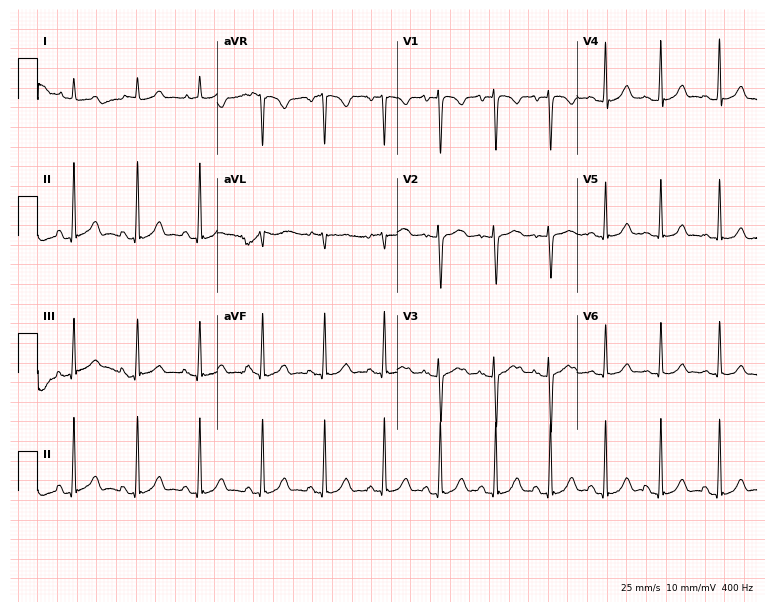
Resting 12-lead electrocardiogram. Patient: a 19-year-old female. Read as a normal ECG.